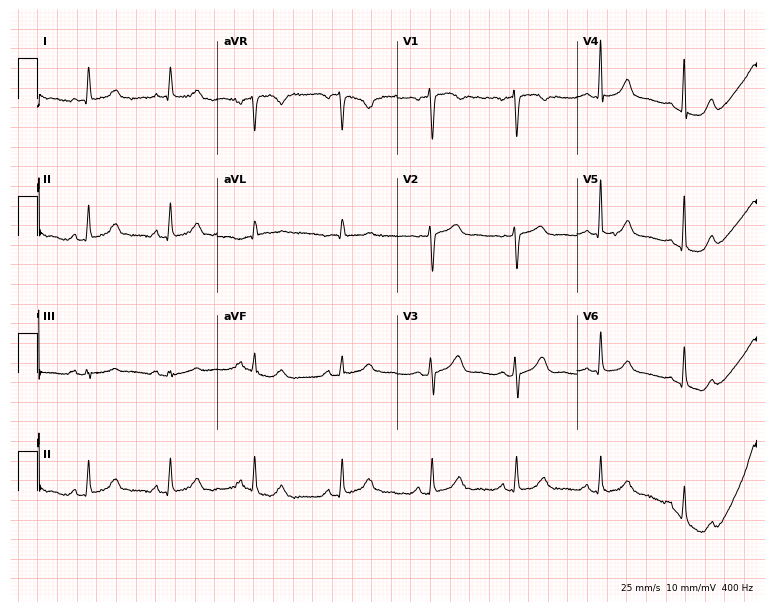
Resting 12-lead electrocardiogram (7.3-second recording at 400 Hz). Patient: a 57-year-old woman. None of these six findings is recorded: first-degree AV block, right bundle branch block, left bundle branch block, sinus bradycardia, atrial fibrillation, sinus tachycardia.